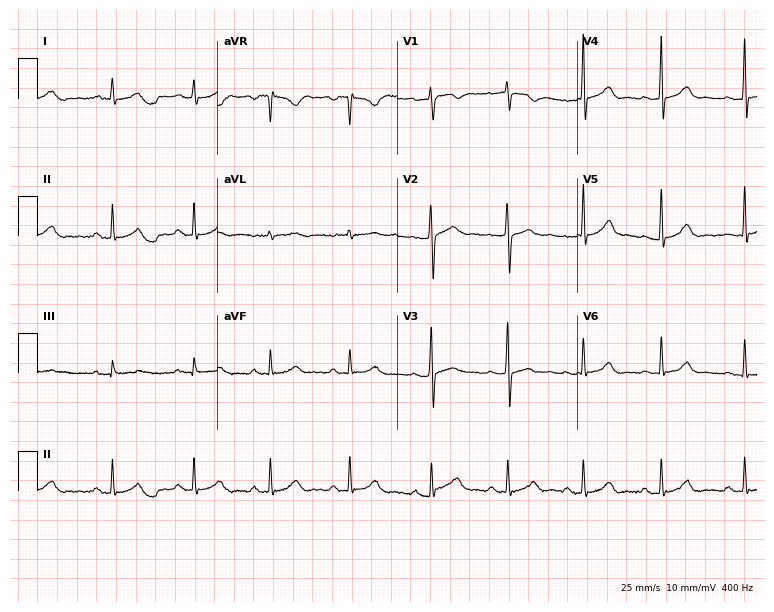
Resting 12-lead electrocardiogram (7.3-second recording at 400 Hz). Patient: a female, 26 years old. None of these six findings is recorded: first-degree AV block, right bundle branch block (RBBB), left bundle branch block (LBBB), sinus bradycardia, atrial fibrillation (AF), sinus tachycardia. Other findings, if any, are not listed.